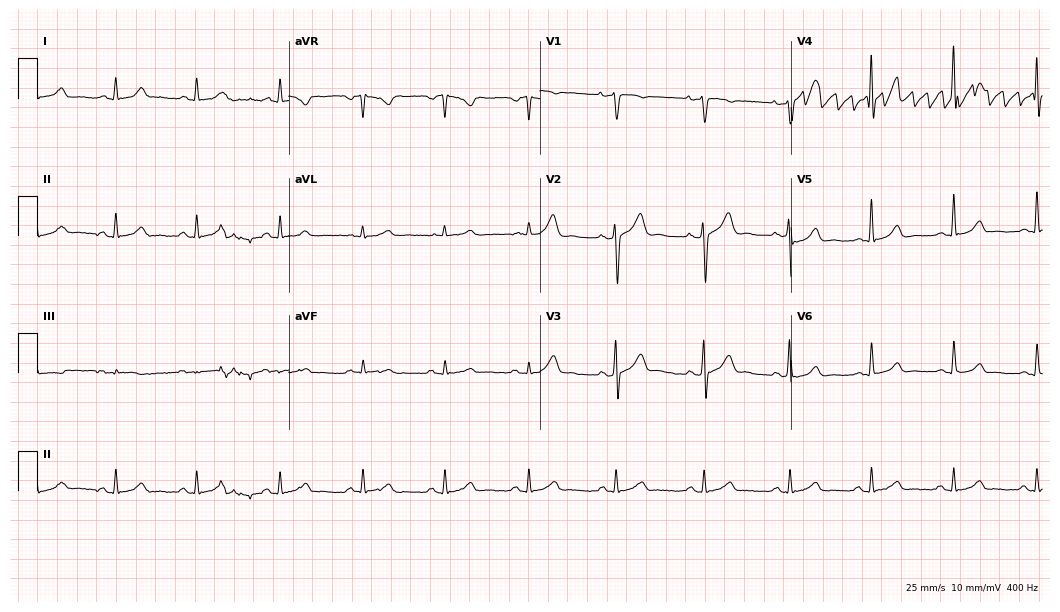
Resting 12-lead electrocardiogram. Patient: a man, 35 years old. None of these six findings is recorded: first-degree AV block, right bundle branch block, left bundle branch block, sinus bradycardia, atrial fibrillation, sinus tachycardia.